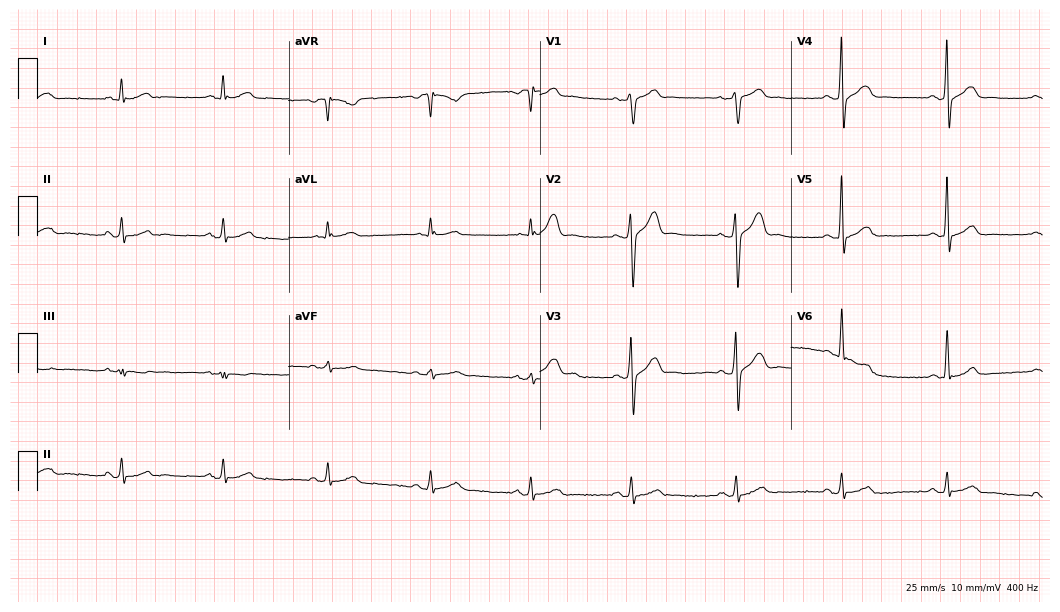
12-lead ECG (10.2-second recording at 400 Hz) from a male, 51 years old. Screened for six findings — first-degree AV block, right bundle branch block, left bundle branch block, sinus bradycardia, atrial fibrillation, sinus tachycardia — none is recorded.